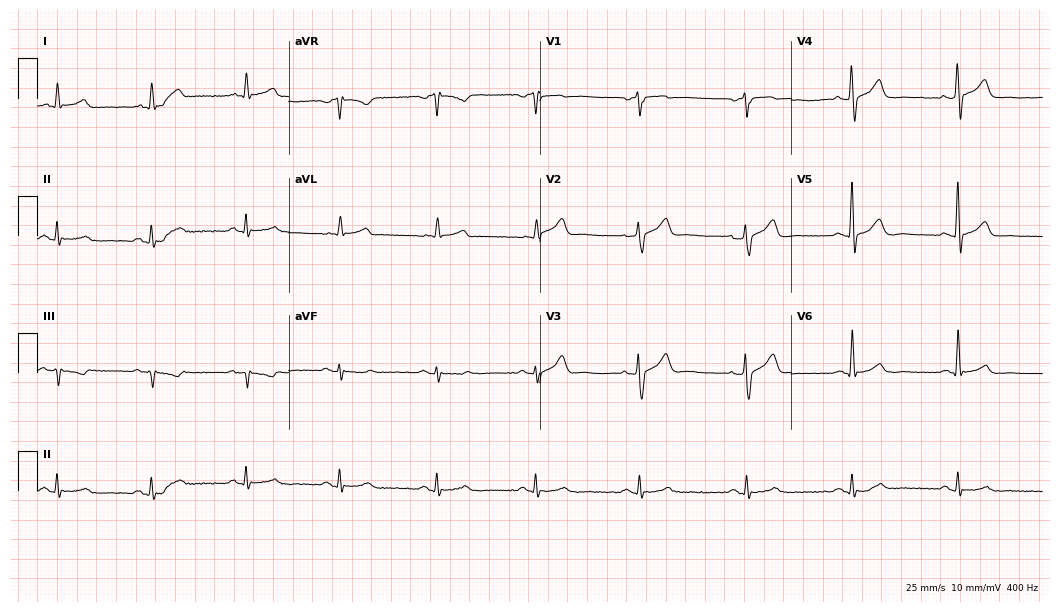
12-lead ECG (10.2-second recording at 400 Hz) from a man, 61 years old. Labelled as a normal ECG.